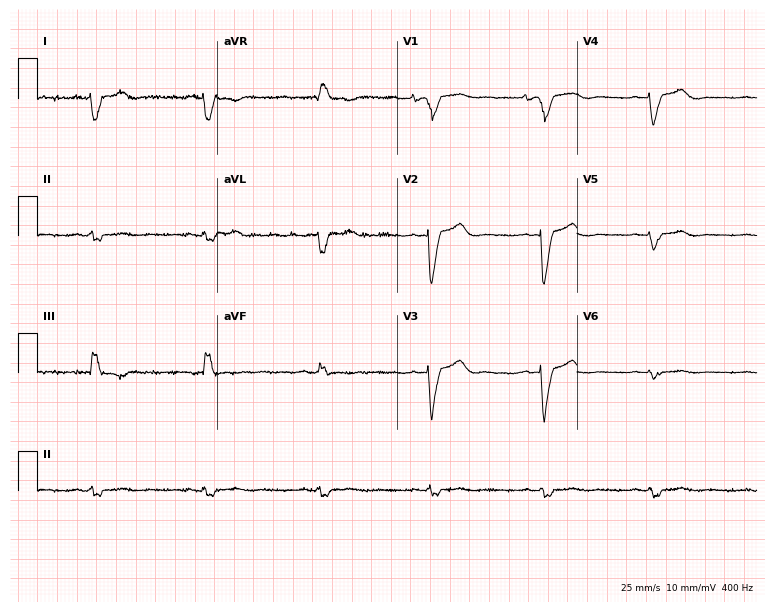
Resting 12-lead electrocardiogram. Patient: a female, 53 years old. None of these six findings is recorded: first-degree AV block, right bundle branch block, left bundle branch block, sinus bradycardia, atrial fibrillation, sinus tachycardia.